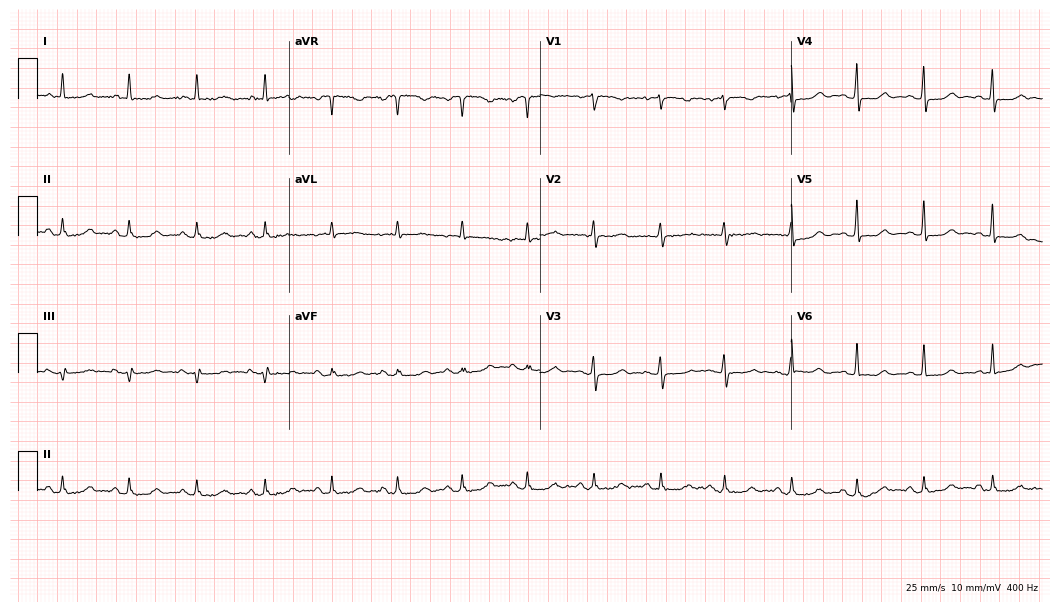
Resting 12-lead electrocardiogram (10.2-second recording at 400 Hz). Patient: a woman, 84 years old. None of these six findings is recorded: first-degree AV block, right bundle branch block, left bundle branch block, sinus bradycardia, atrial fibrillation, sinus tachycardia. Findings outside these six are not listed.